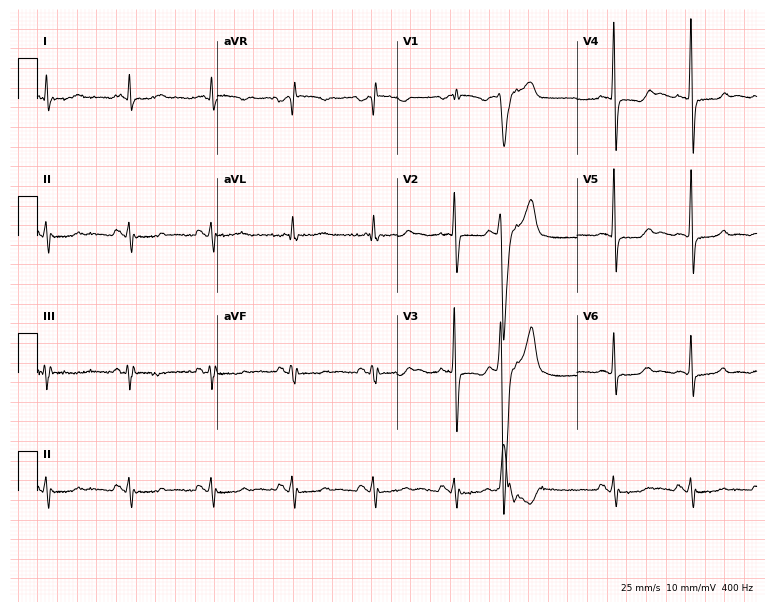
12-lead ECG from a male patient, 70 years old. Screened for six findings — first-degree AV block, right bundle branch block (RBBB), left bundle branch block (LBBB), sinus bradycardia, atrial fibrillation (AF), sinus tachycardia — none is recorded. Findings outside these six are not listed.